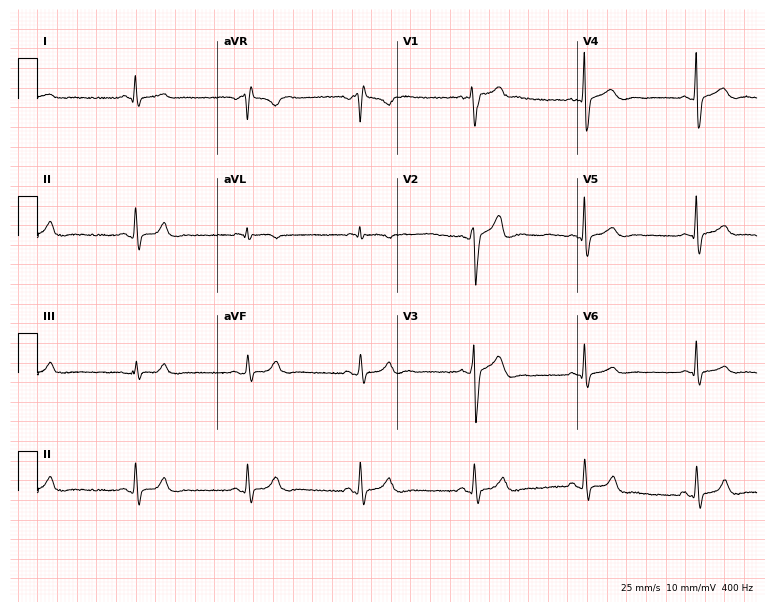
12-lead ECG from a 52-year-old man (7.3-second recording at 400 Hz). Recorded interpretation: within normal limits.